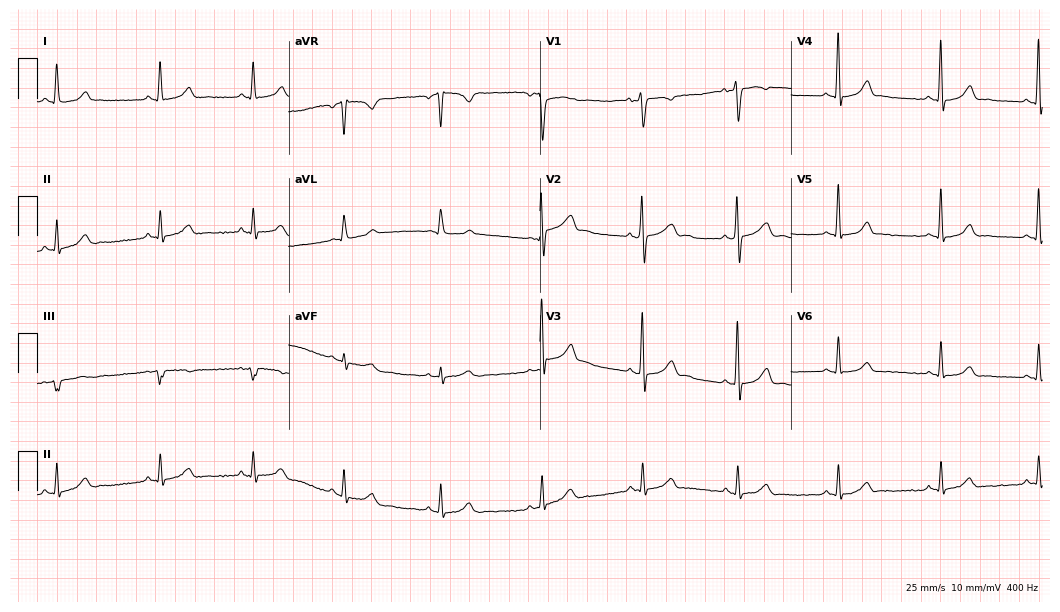
12-lead ECG from a 24-year-old man. No first-degree AV block, right bundle branch block, left bundle branch block, sinus bradycardia, atrial fibrillation or sinus tachycardia recorded for this tracing.